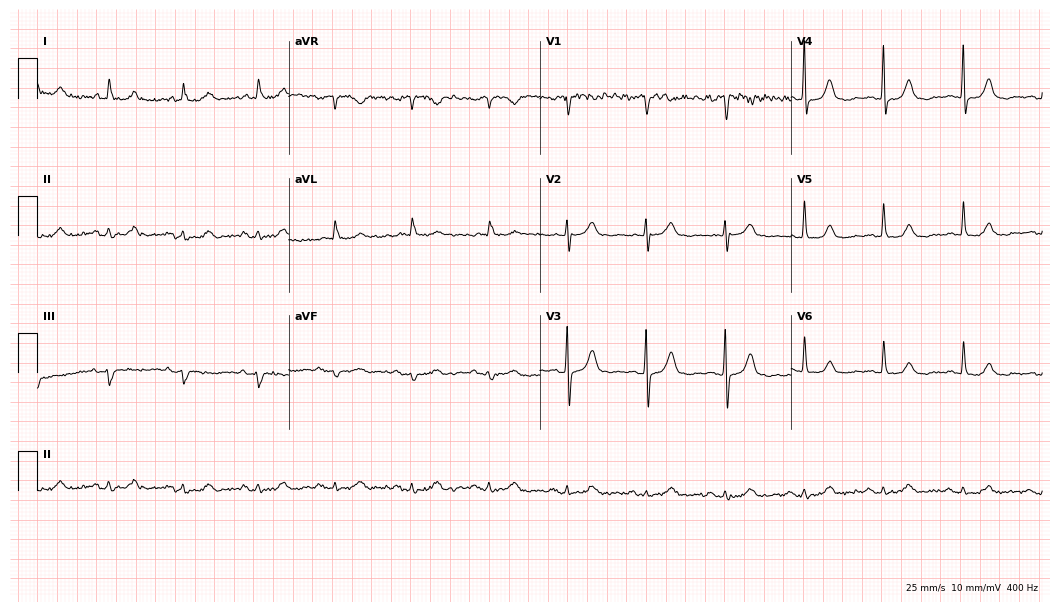
Electrocardiogram (10.2-second recording at 400 Hz), a 77-year-old male patient. Of the six screened findings (first-degree AV block, right bundle branch block, left bundle branch block, sinus bradycardia, atrial fibrillation, sinus tachycardia), none is recorded.